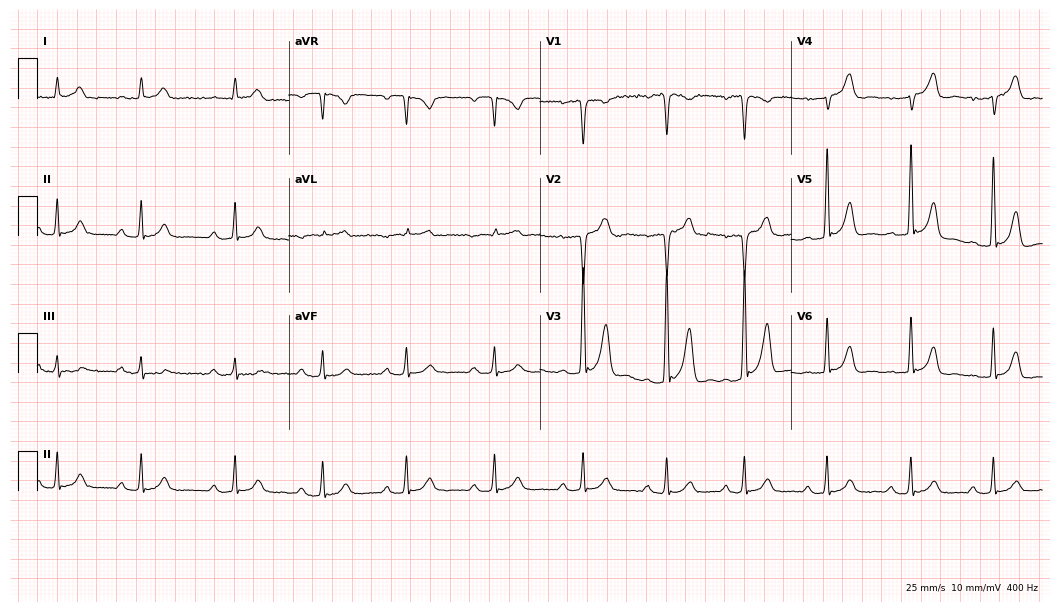
ECG — a 52-year-old man. Findings include first-degree AV block.